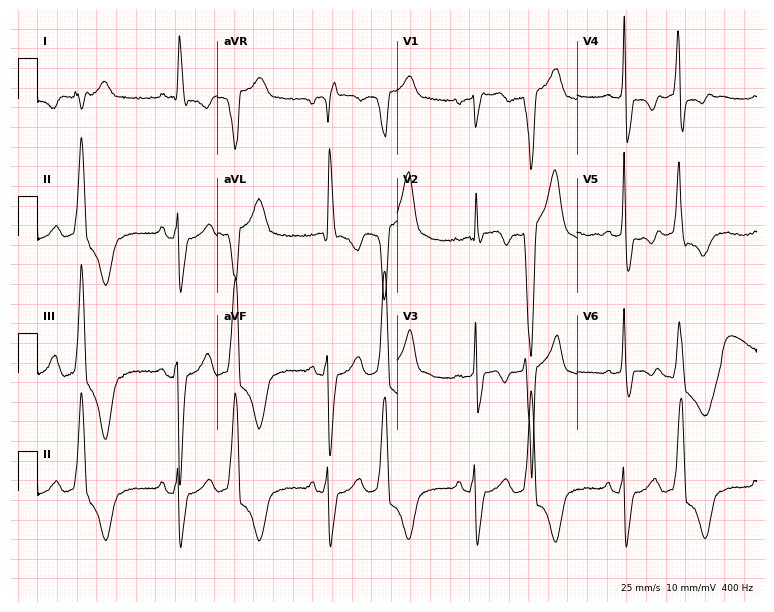
12-lead ECG from a 76-year-old female patient. Shows left bundle branch block (LBBB).